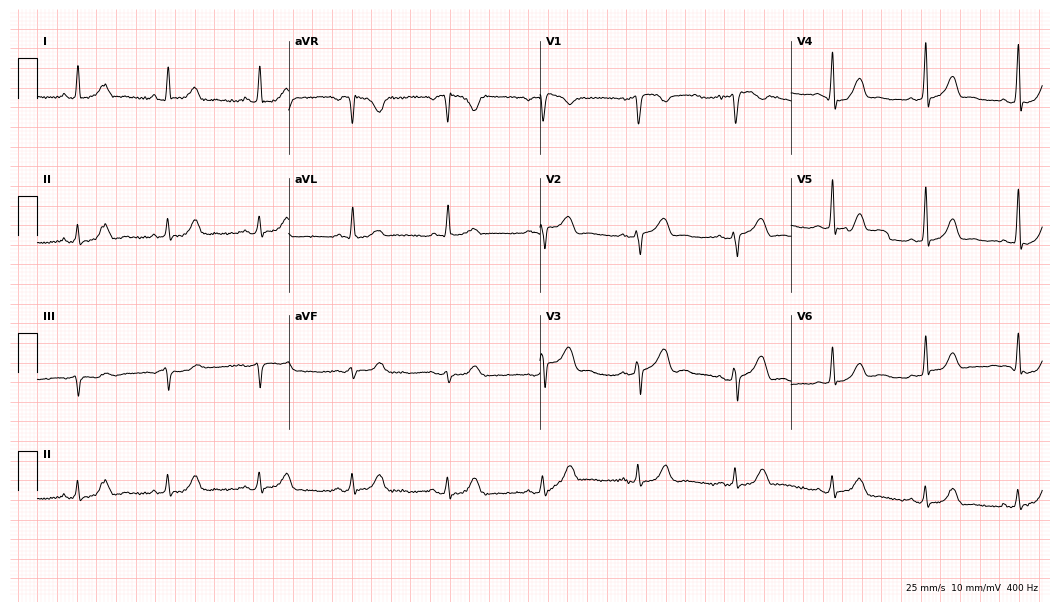
Standard 12-lead ECG recorded from a 43-year-old female. Read as a normal ECG.